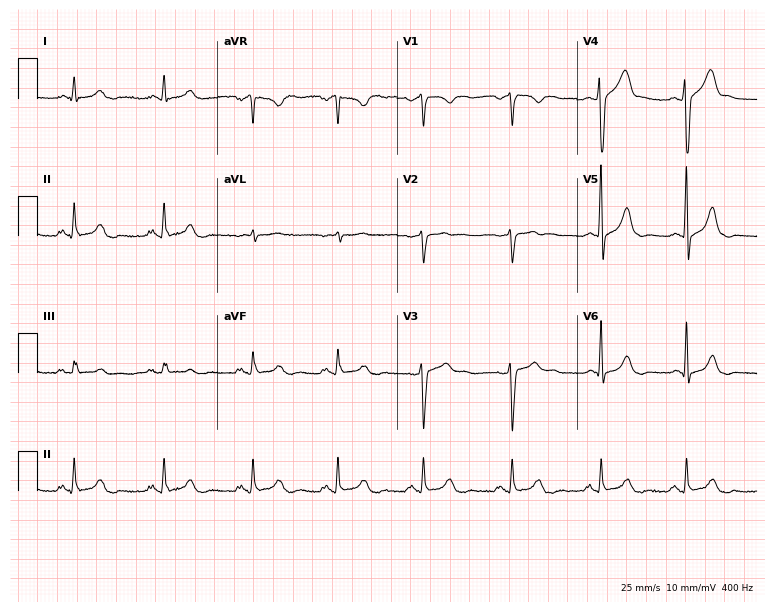
12-lead ECG from a male, 57 years old. Labelled as a normal ECG.